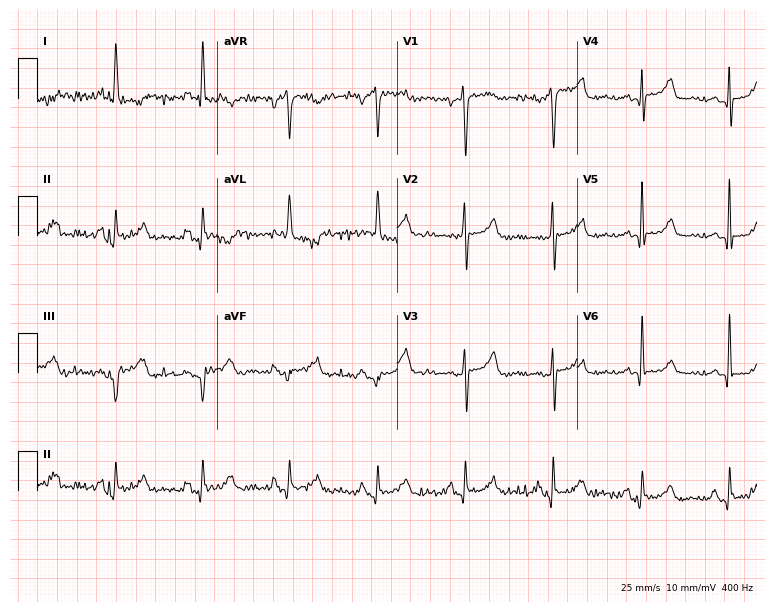
Resting 12-lead electrocardiogram (7.3-second recording at 400 Hz). Patient: a female, 68 years old. None of these six findings is recorded: first-degree AV block, right bundle branch block, left bundle branch block, sinus bradycardia, atrial fibrillation, sinus tachycardia.